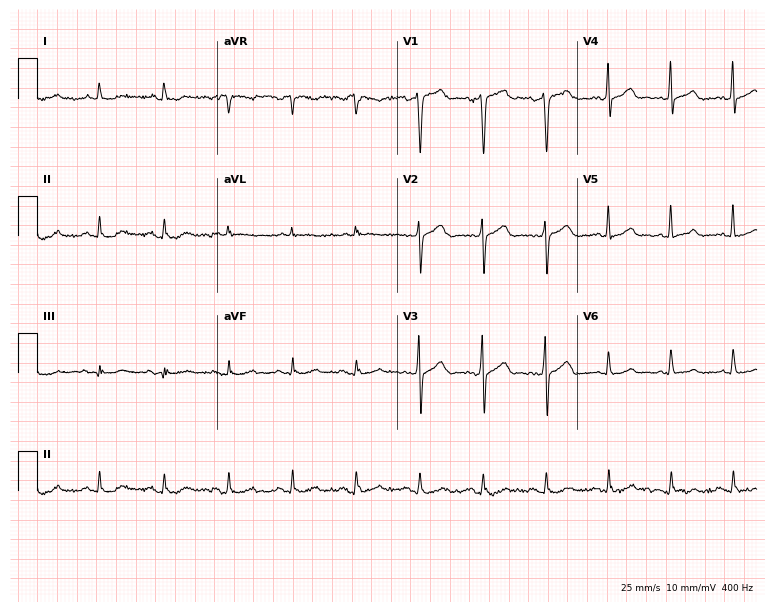
ECG (7.3-second recording at 400 Hz) — a male, 61 years old. Labelled as a normal ECG.